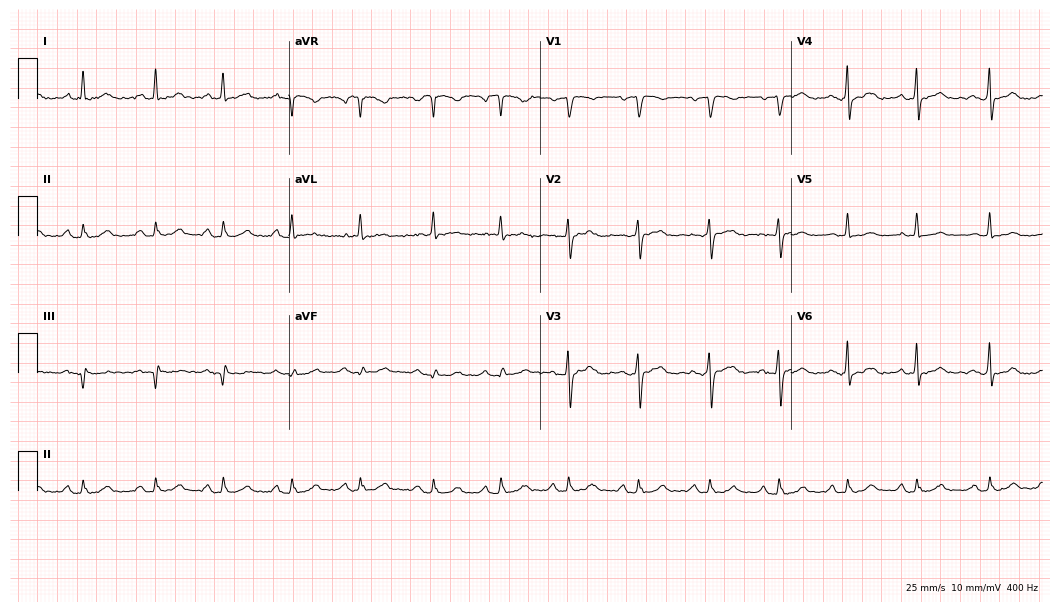
Electrocardiogram, an 82-year-old female patient. Of the six screened findings (first-degree AV block, right bundle branch block, left bundle branch block, sinus bradycardia, atrial fibrillation, sinus tachycardia), none is recorded.